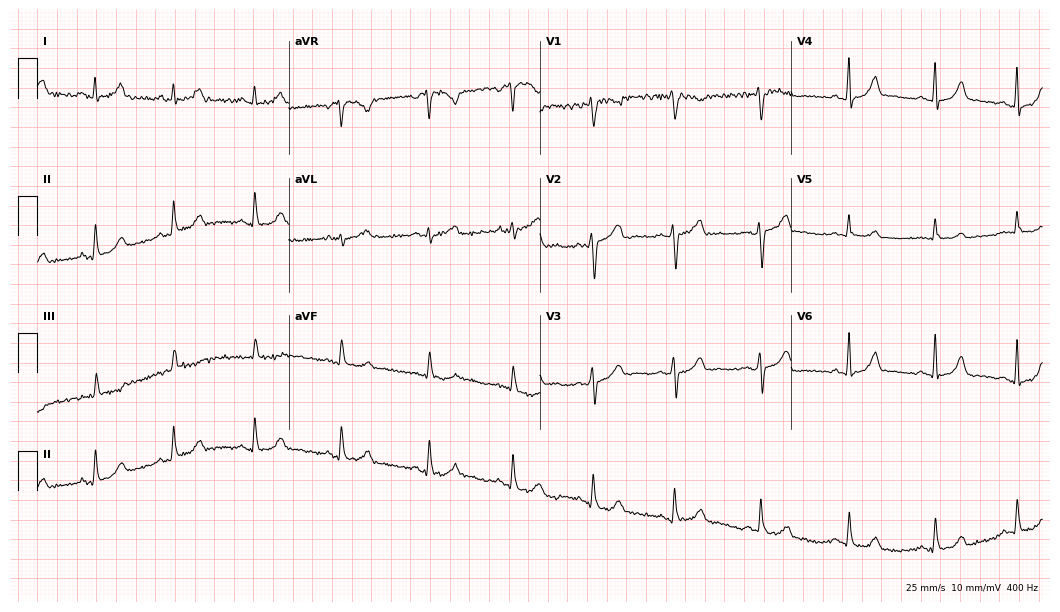
Electrocardiogram, a female patient, 43 years old. Overall reading on record: normal ECG.